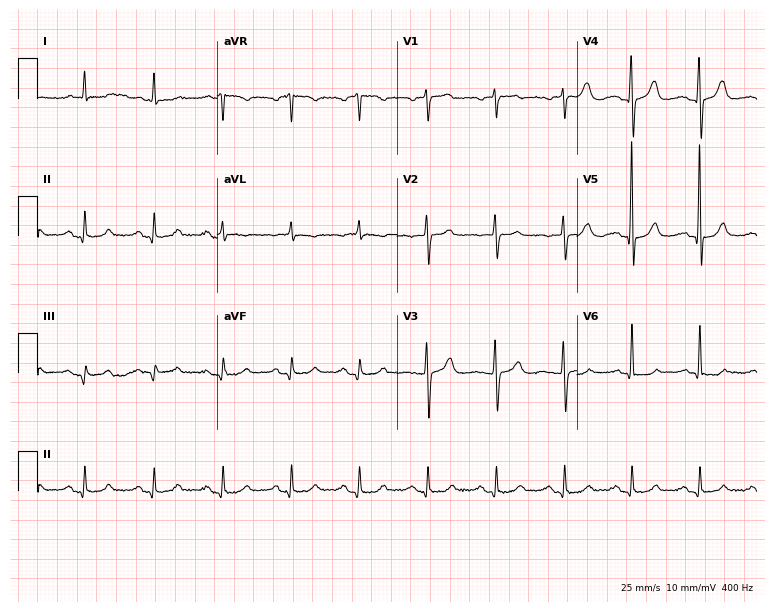
12-lead ECG from a man, 79 years old. Screened for six findings — first-degree AV block, right bundle branch block (RBBB), left bundle branch block (LBBB), sinus bradycardia, atrial fibrillation (AF), sinus tachycardia — none is recorded. Other findings, if any, are not listed.